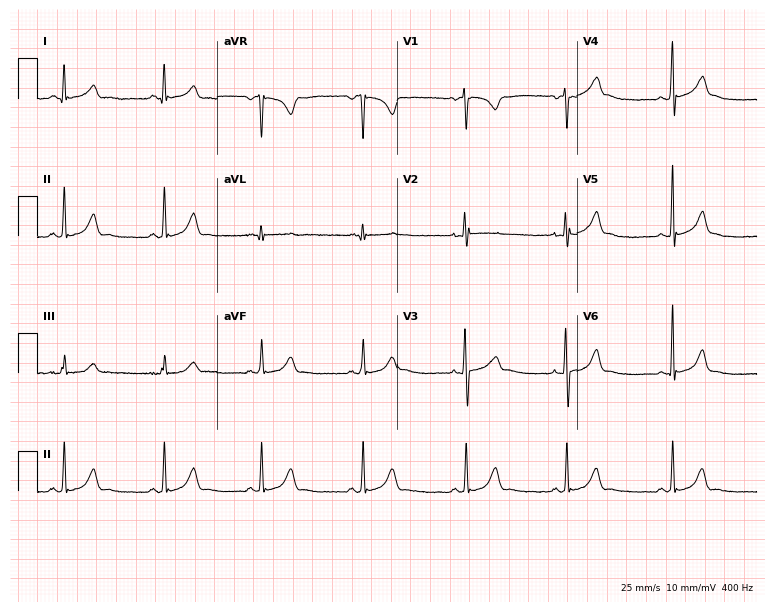
12-lead ECG from a female, 33 years old. Labelled as a normal ECG.